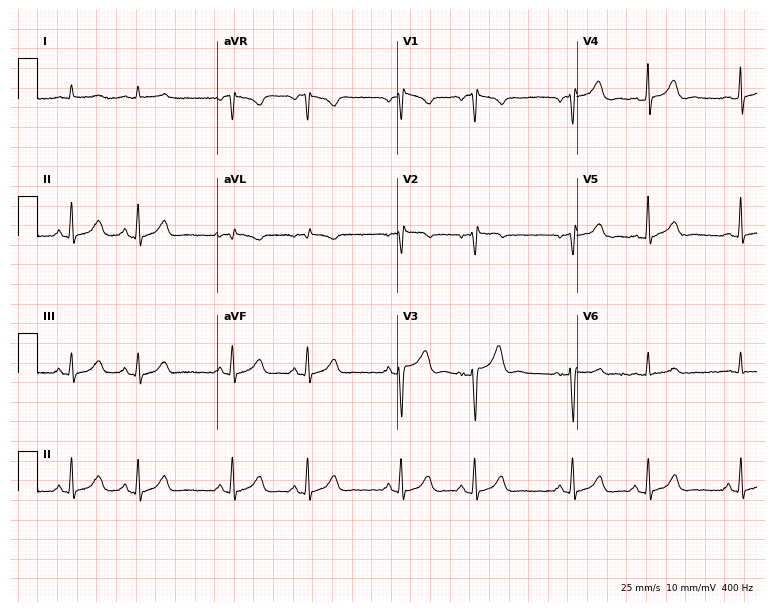
12-lead ECG (7.3-second recording at 400 Hz) from a male patient, 61 years old. Screened for six findings — first-degree AV block, right bundle branch block (RBBB), left bundle branch block (LBBB), sinus bradycardia, atrial fibrillation (AF), sinus tachycardia — none is recorded.